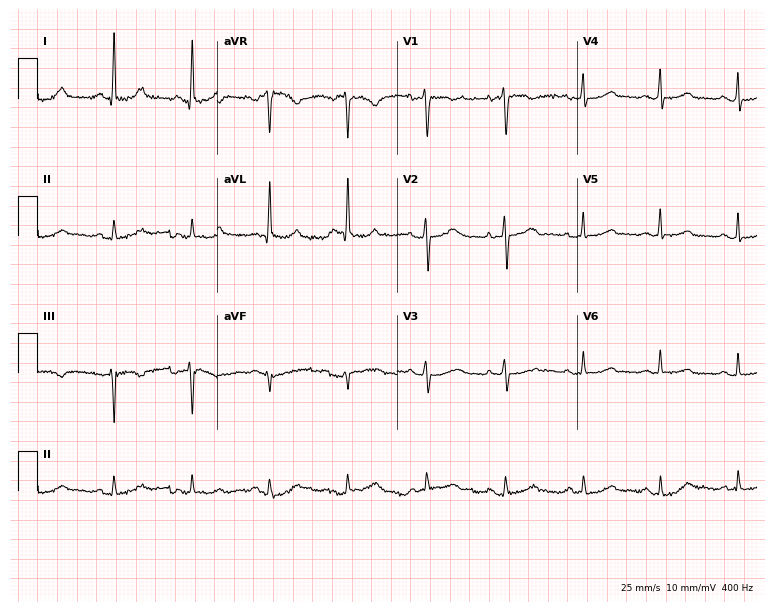
ECG (7.3-second recording at 400 Hz) — a female patient, 36 years old. Screened for six findings — first-degree AV block, right bundle branch block (RBBB), left bundle branch block (LBBB), sinus bradycardia, atrial fibrillation (AF), sinus tachycardia — none is recorded.